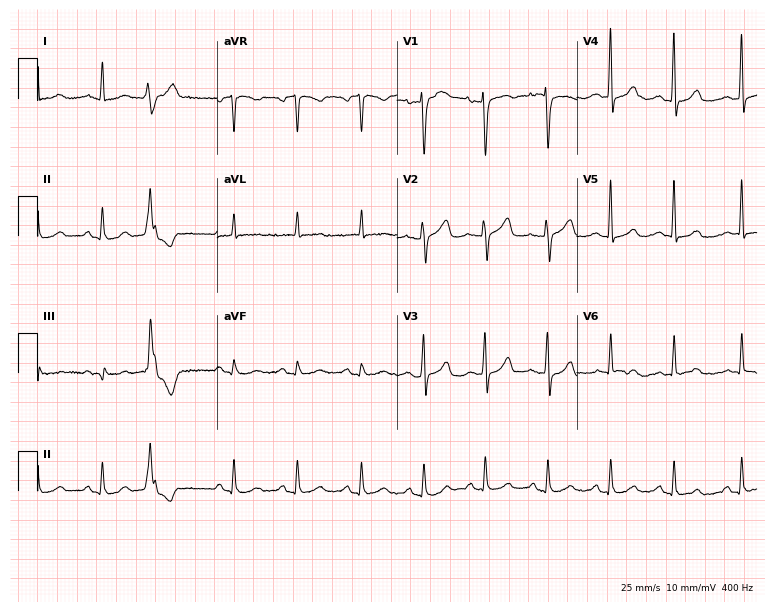
Standard 12-lead ECG recorded from a female, 68 years old (7.3-second recording at 400 Hz). None of these six findings is recorded: first-degree AV block, right bundle branch block (RBBB), left bundle branch block (LBBB), sinus bradycardia, atrial fibrillation (AF), sinus tachycardia. Other findings, if any, are not listed.